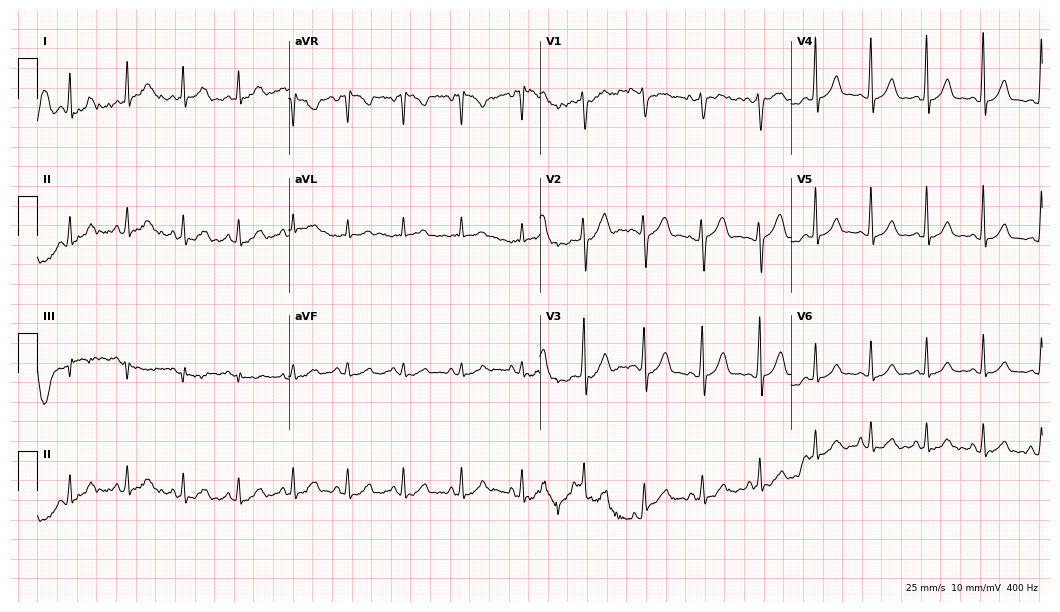
Standard 12-lead ECG recorded from a female, 48 years old (10.2-second recording at 400 Hz). The tracing shows sinus tachycardia (a sinus rate of 100 beats per minute or more).